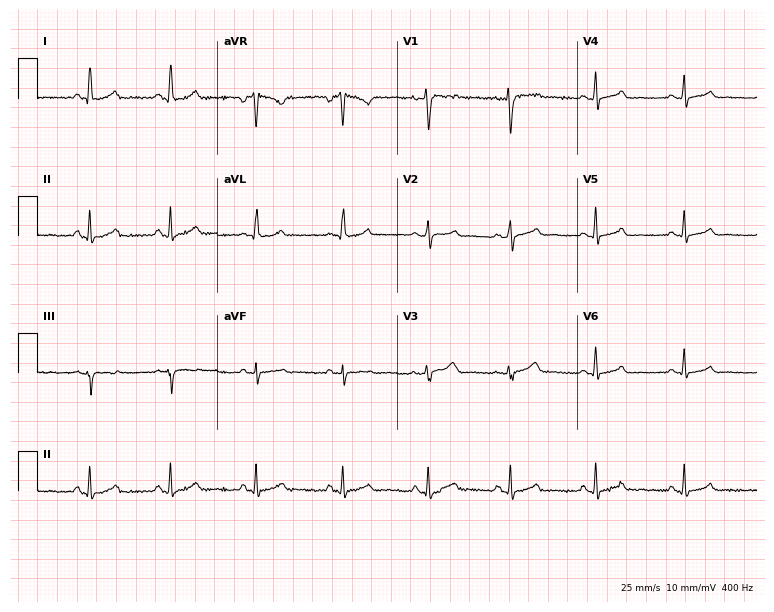
12-lead ECG from a female, 38 years old (7.3-second recording at 400 Hz). Recorded interpretation: within normal limits.